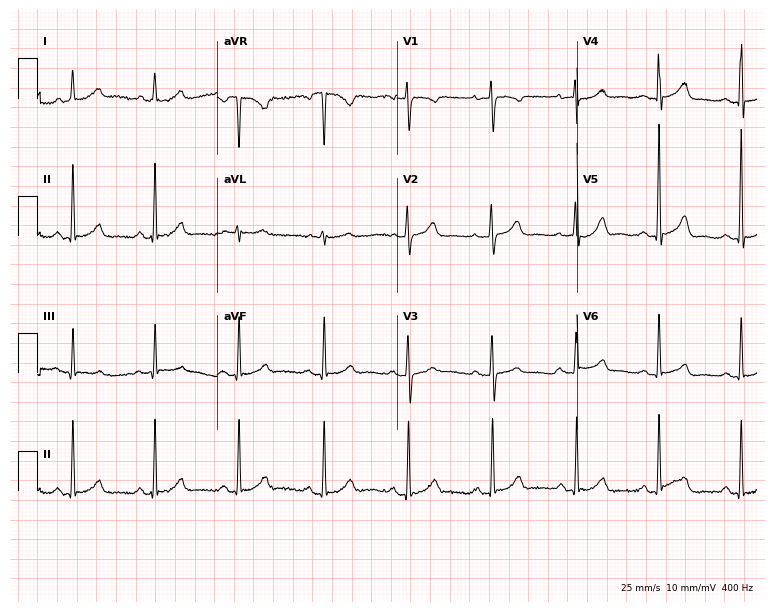
Resting 12-lead electrocardiogram. Patient: a female, 57 years old. Read as a normal ECG.